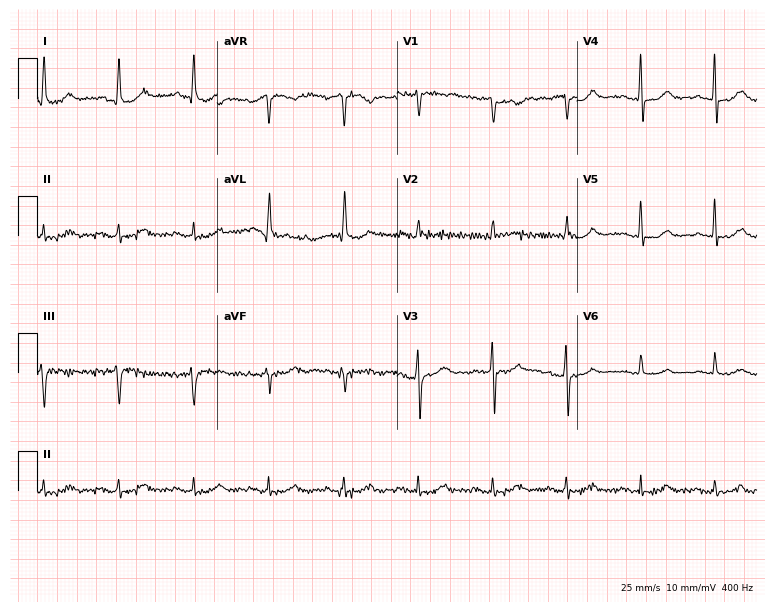
Electrocardiogram (7.3-second recording at 400 Hz), a female patient, 74 years old. Of the six screened findings (first-degree AV block, right bundle branch block (RBBB), left bundle branch block (LBBB), sinus bradycardia, atrial fibrillation (AF), sinus tachycardia), none is recorded. Other findings, if any, are not listed.